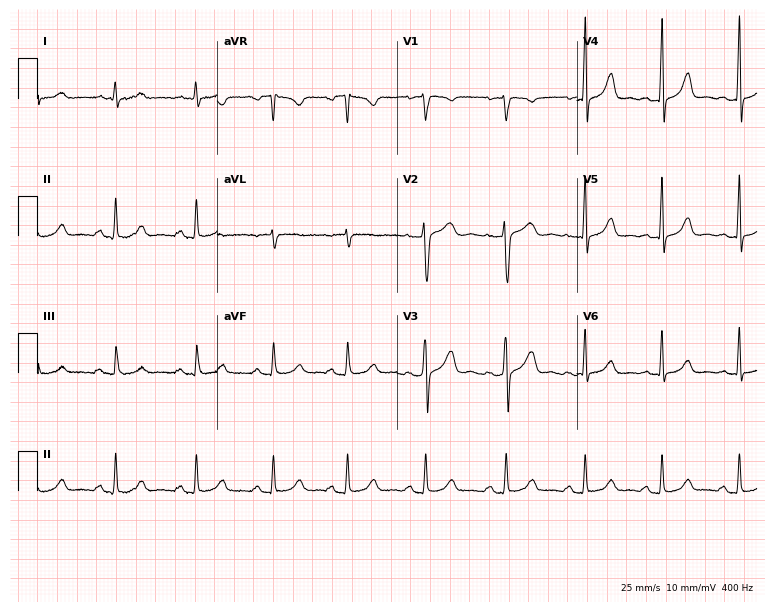
12-lead ECG from a 29-year-old woman (7.3-second recording at 400 Hz). No first-degree AV block, right bundle branch block, left bundle branch block, sinus bradycardia, atrial fibrillation or sinus tachycardia recorded for this tracing.